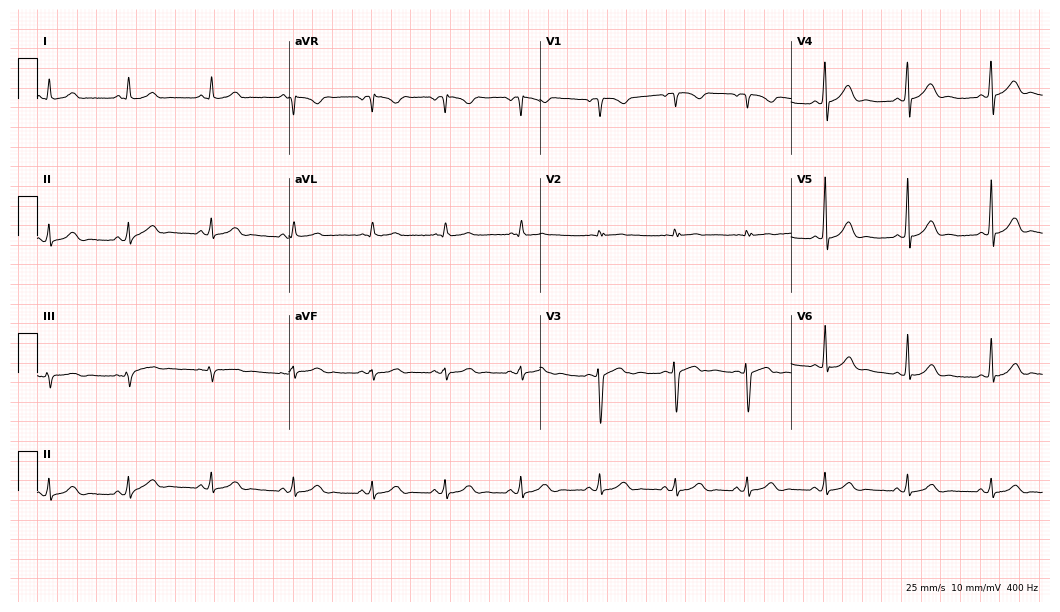
12-lead ECG from a female patient, 22 years old. Labelled as a normal ECG.